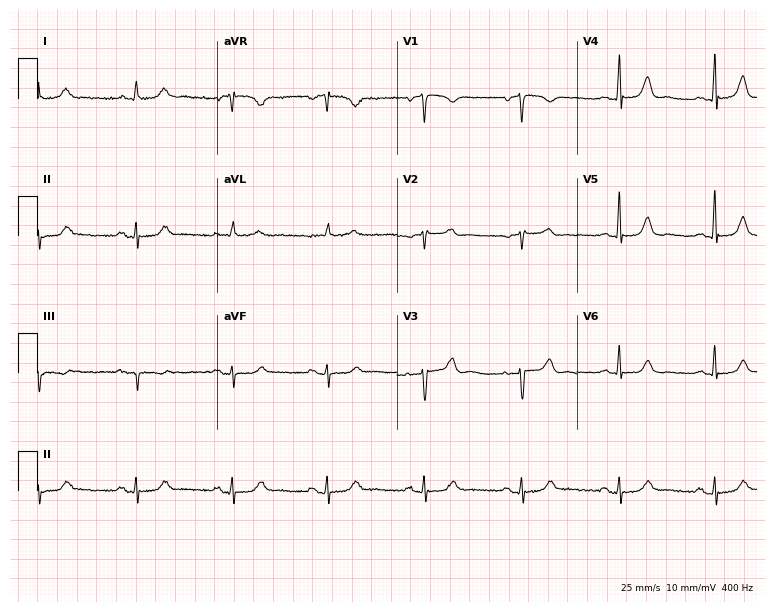
12-lead ECG (7.3-second recording at 400 Hz) from a woman, 83 years old. Labelled as a normal ECG.